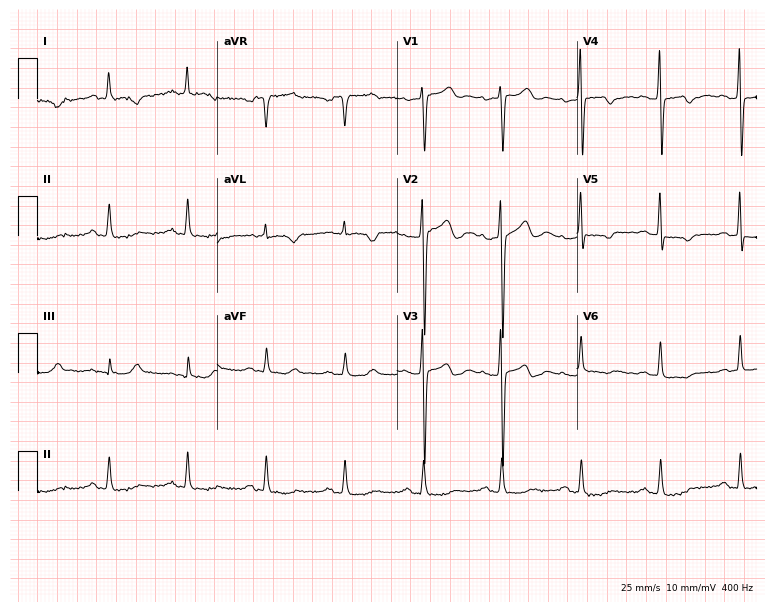
Electrocardiogram, a female patient, 67 years old. Of the six screened findings (first-degree AV block, right bundle branch block, left bundle branch block, sinus bradycardia, atrial fibrillation, sinus tachycardia), none is recorded. Findings outside these six are not listed.